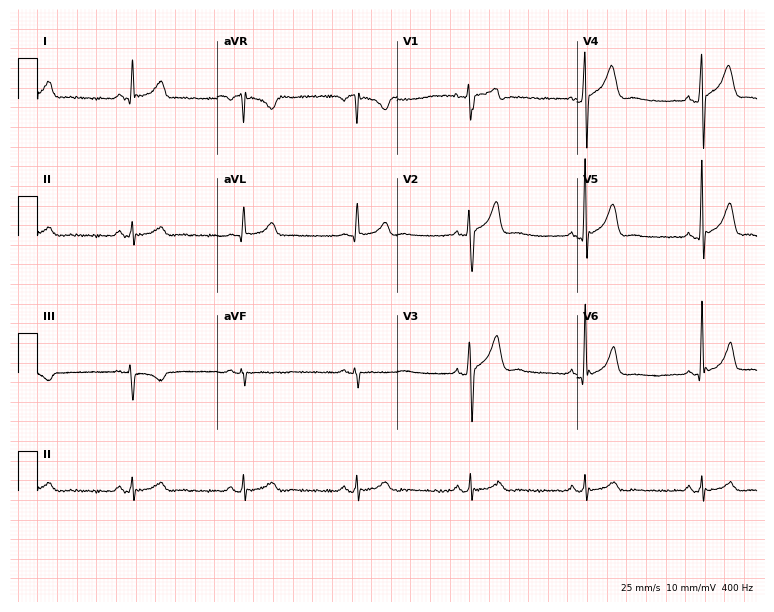
12-lead ECG from a 37-year-old male (7.3-second recording at 400 Hz). No first-degree AV block, right bundle branch block (RBBB), left bundle branch block (LBBB), sinus bradycardia, atrial fibrillation (AF) or sinus tachycardia recorded for this tracing.